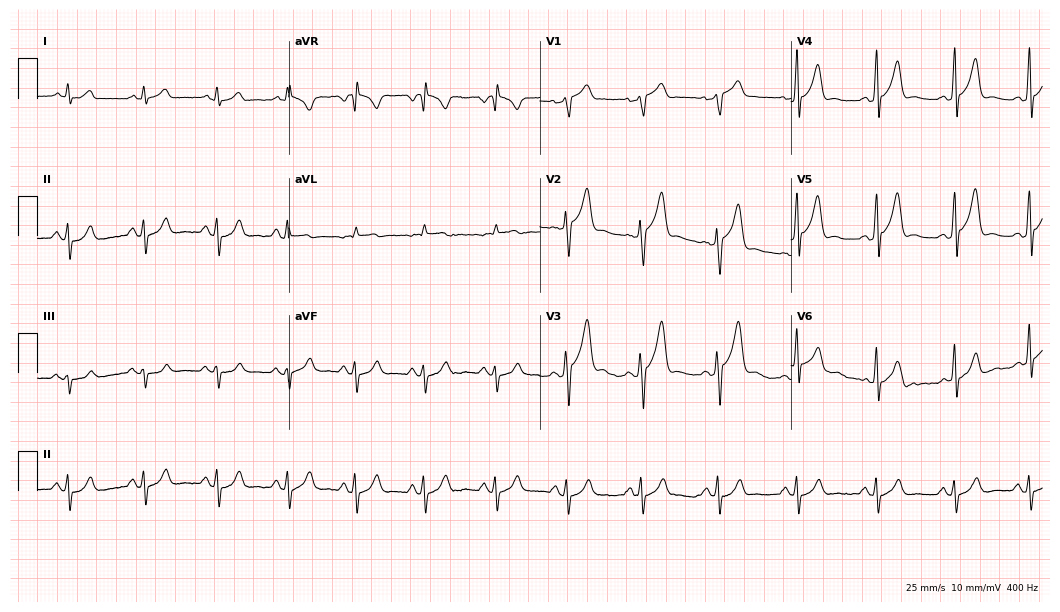
Standard 12-lead ECG recorded from a male patient, 50 years old (10.2-second recording at 400 Hz). Read as a normal ECG.